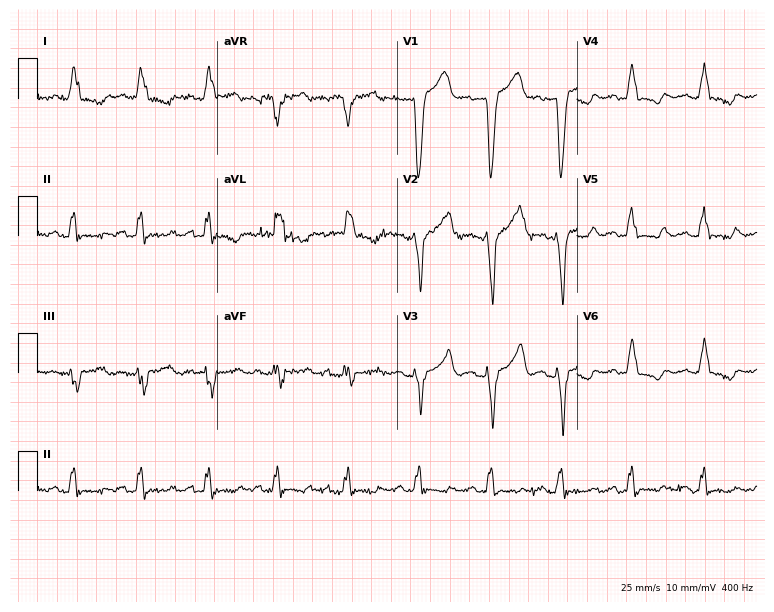
12-lead ECG (7.3-second recording at 400 Hz) from a 69-year-old female. Findings include left bundle branch block.